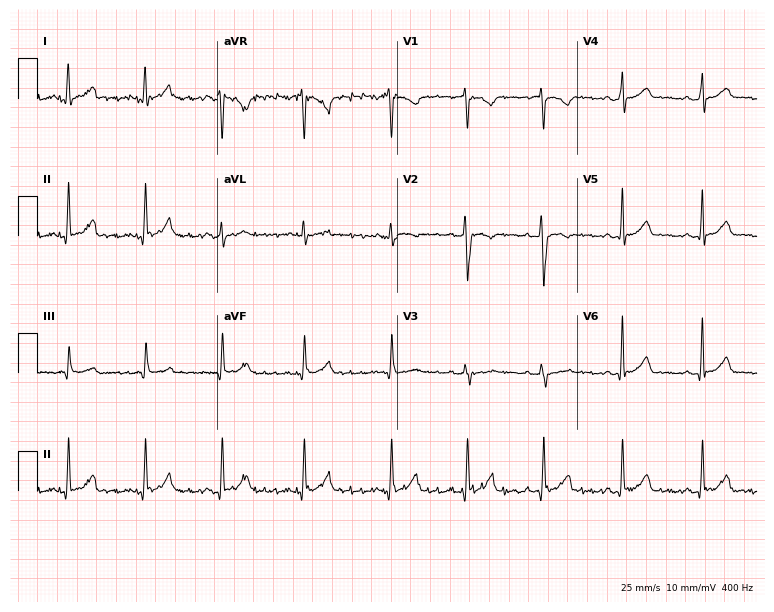
12-lead ECG from a female, 29 years old. No first-degree AV block, right bundle branch block (RBBB), left bundle branch block (LBBB), sinus bradycardia, atrial fibrillation (AF) or sinus tachycardia recorded for this tracing.